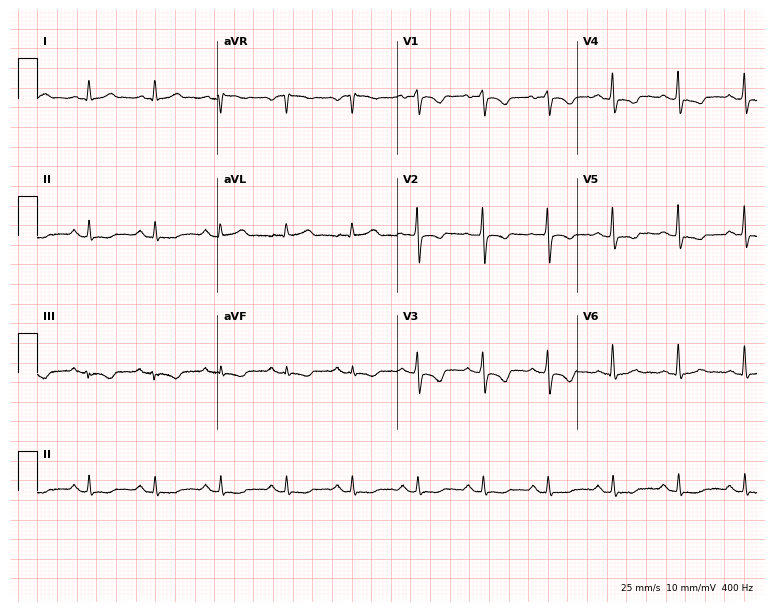
ECG (7.3-second recording at 400 Hz) — a 49-year-old female. Screened for six findings — first-degree AV block, right bundle branch block (RBBB), left bundle branch block (LBBB), sinus bradycardia, atrial fibrillation (AF), sinus tachycardia — none is recorded. Only these six findings were labelled.